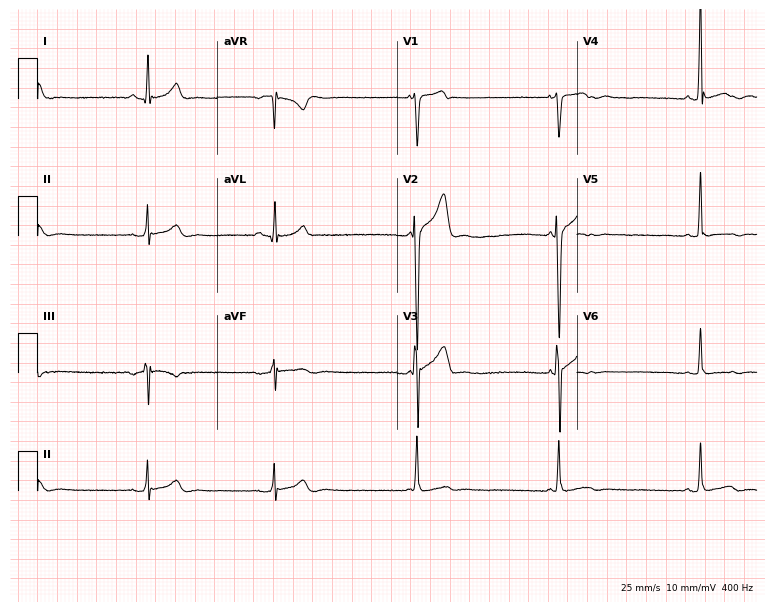
Standard 12-lead ECG recorded from a man, 34 years old (7.3-second recording at 400 Hz). None of these six findings is recorded: first-degree AV block, right bundle branch block (RBBB), left bundle branch block (LBBB), sinus bradycardia, atrial fibrillation (AF), sinus tachycardia. Only these six findings were labelled.